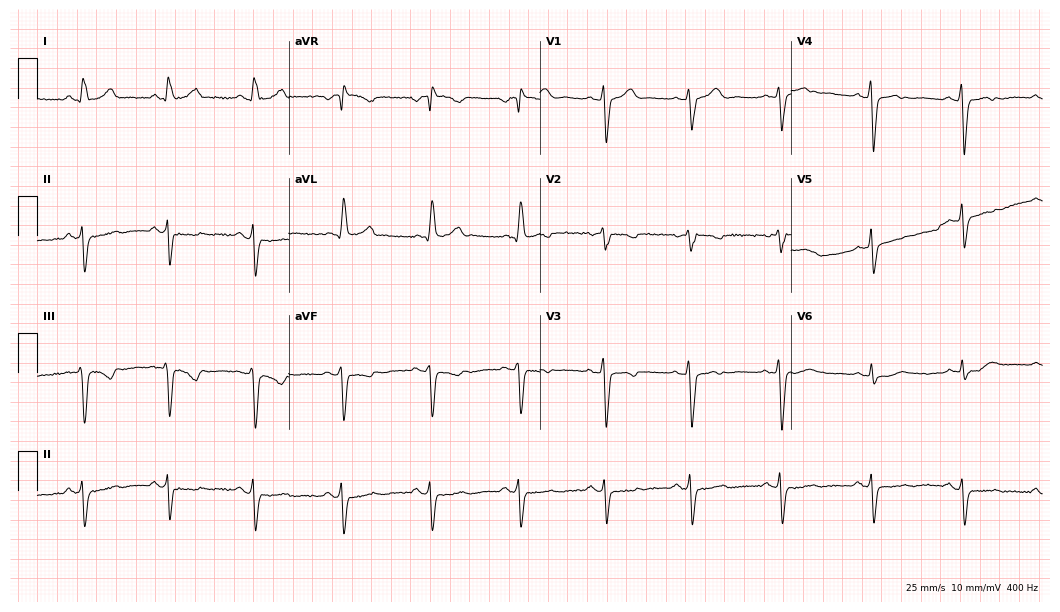
Resting 12-lead electrocardiogram. Patient: a 45-year-old woman. None of these six findings is recorded: first-degree AV block, right bundle branch block (RBBB), left bundle branch block (LBBB), sinus bradycardia, atrial fibrillation (AF), sinus tachycardia.